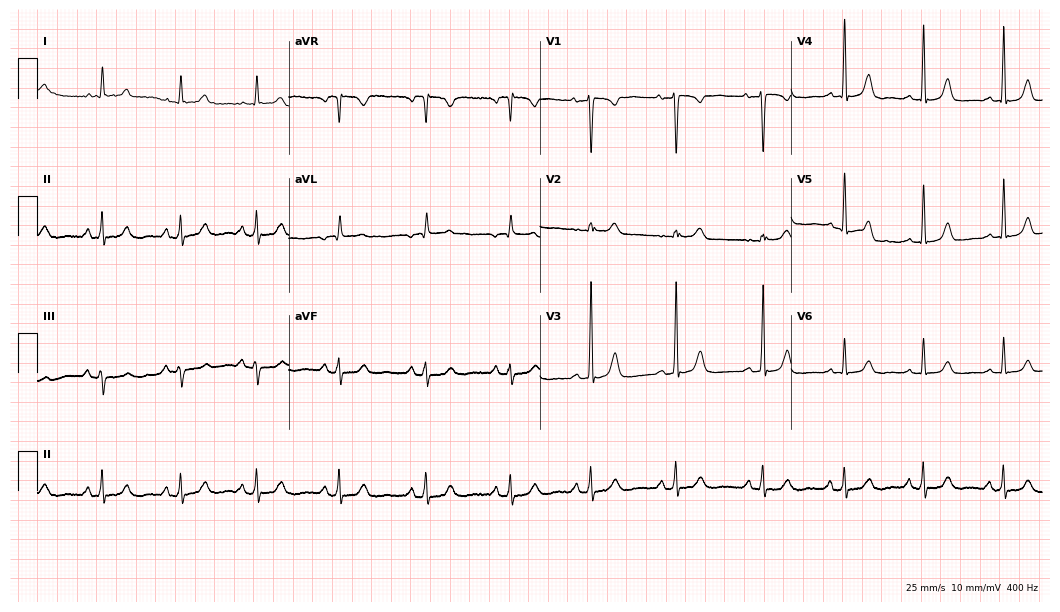
12-lead ECG from a 42-year-old woman. Recorded interpretation: within normal limits.